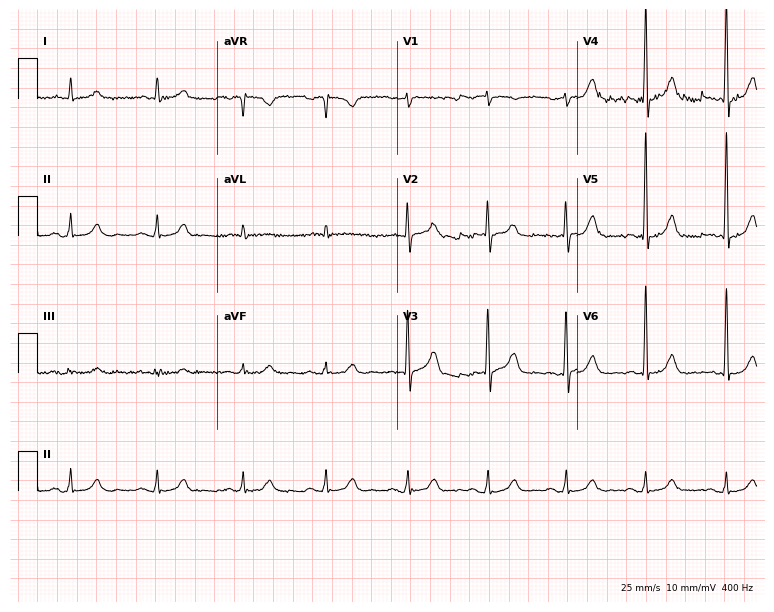
12-lead ECG from a 77-year-old male. Recorded interpretation: within normal limits.